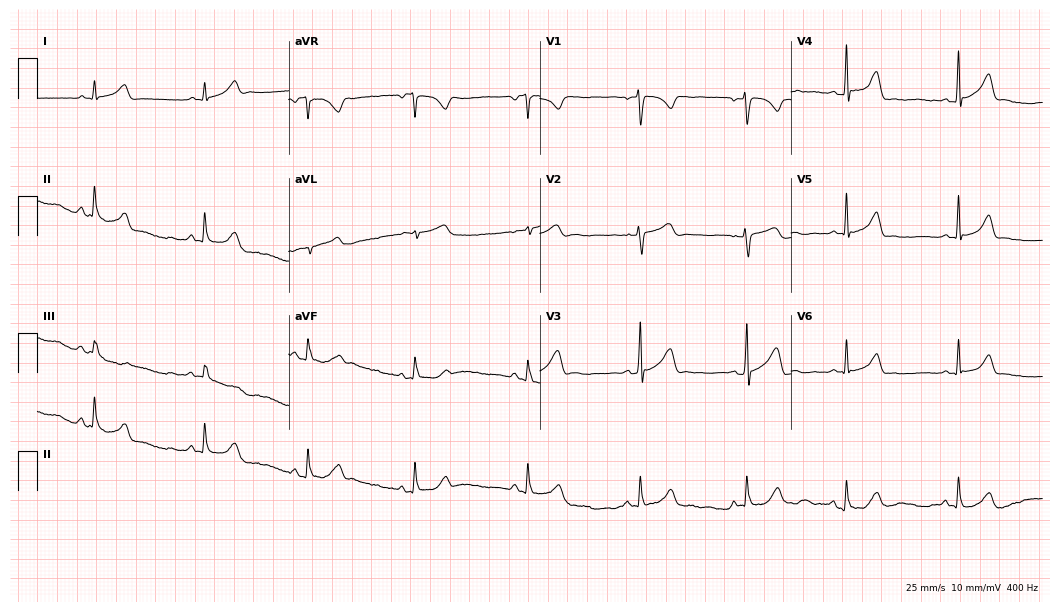
Electrocardiogram, a 19-year-old female patient. Of the six screened findings (first-degree AV block, right bundle branch block, left bundle branch block, sinus bradycardia, atrial fibrillation, sinus tachycardia), none is recorded.